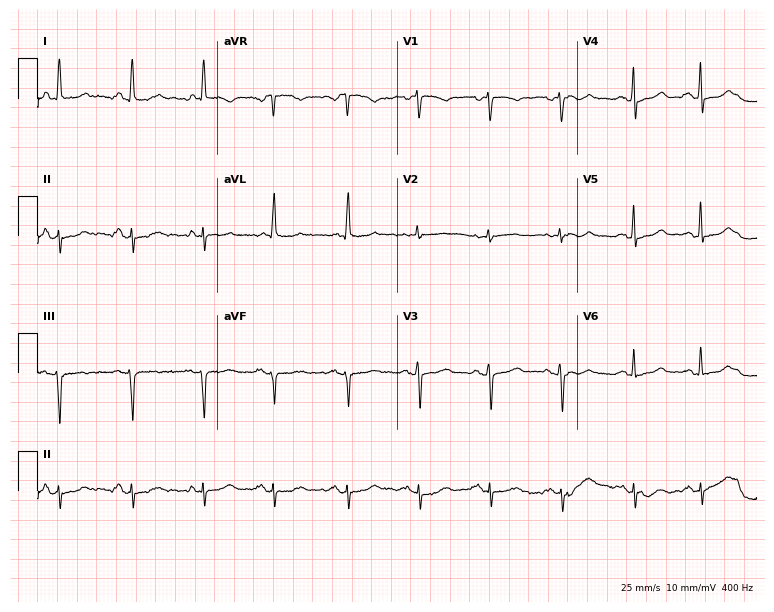
Standard 12-lead ECG recorded from a woman, 74 years old. None of these six findings is recorded: first-degree AV block, right bundle branch block, left bundle branch block, sinus bradycardia, atrial fibrillation, sinus tachycardia.